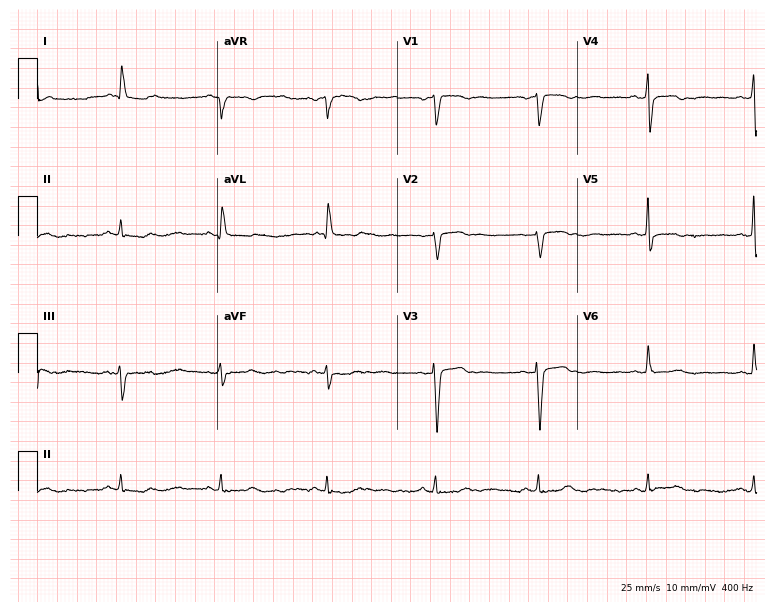
12-lead ECG from a 66-year-old female. Labelled as a normal ECG.